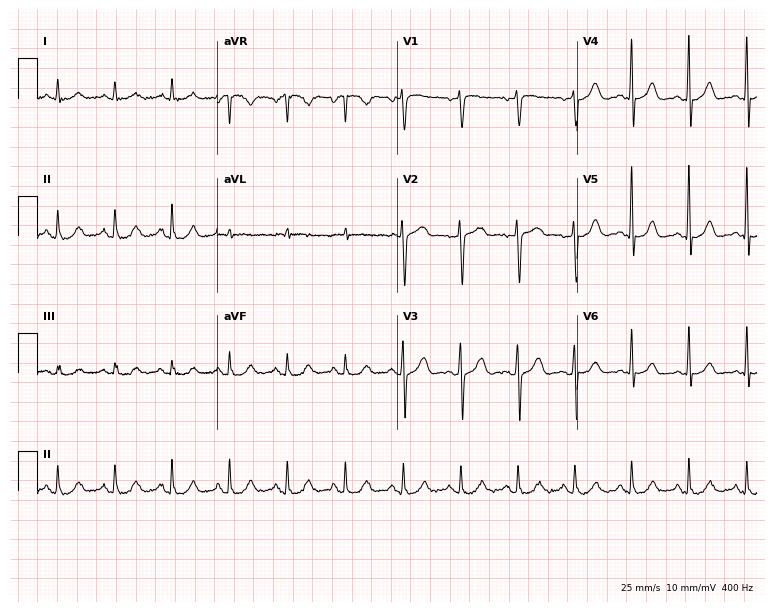
12-lead ECG from a male patient, 83 years old (7.3-second recording at 400 Hz). Shows sinus tachycardia (a sinus rate of 100 beats per minute or more).